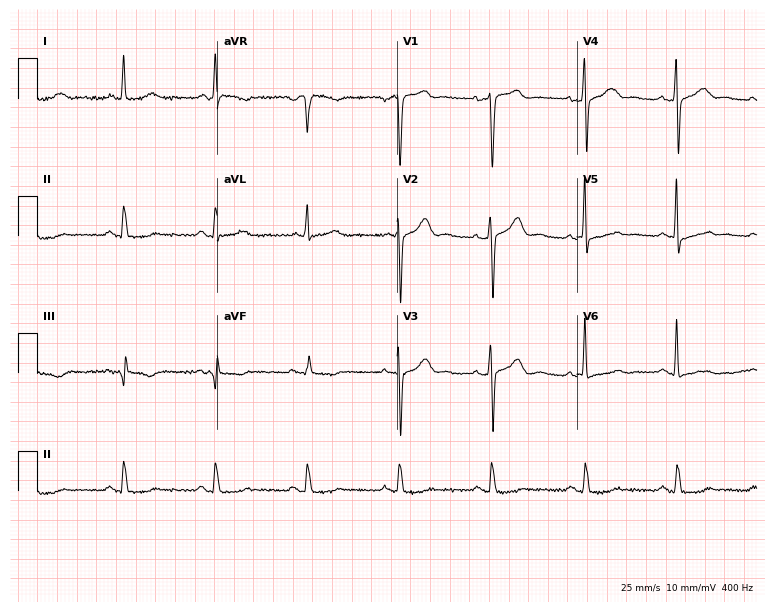
Standard 12-lead ECG recorded from a male, 61 years old (7.3-second recording at 400 Hz). None of these six findings is recorded: first-degree AV block, right bundle branch block (RBBB), left bundle branch block (LBBB), sinus bradycardia, atrial fibrillation (AF), sinus tachycardia.